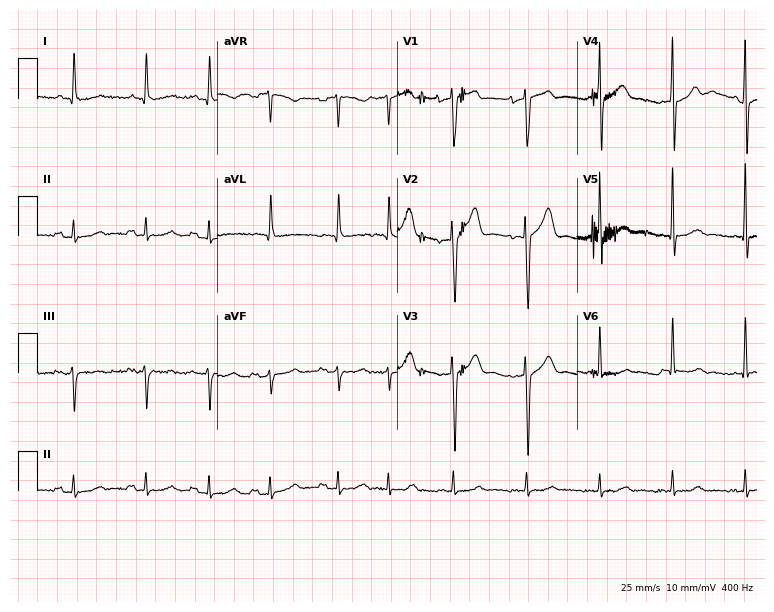
12-lead ECG (7.3-second recording at 400 Hz) from a man, 82 years old. Screened for six findings — first-degree AV block, right bundle branch block, left bundle branch block, sinus bradycardia, atrial fibrillation, sinus tachycardia — none is recorded.